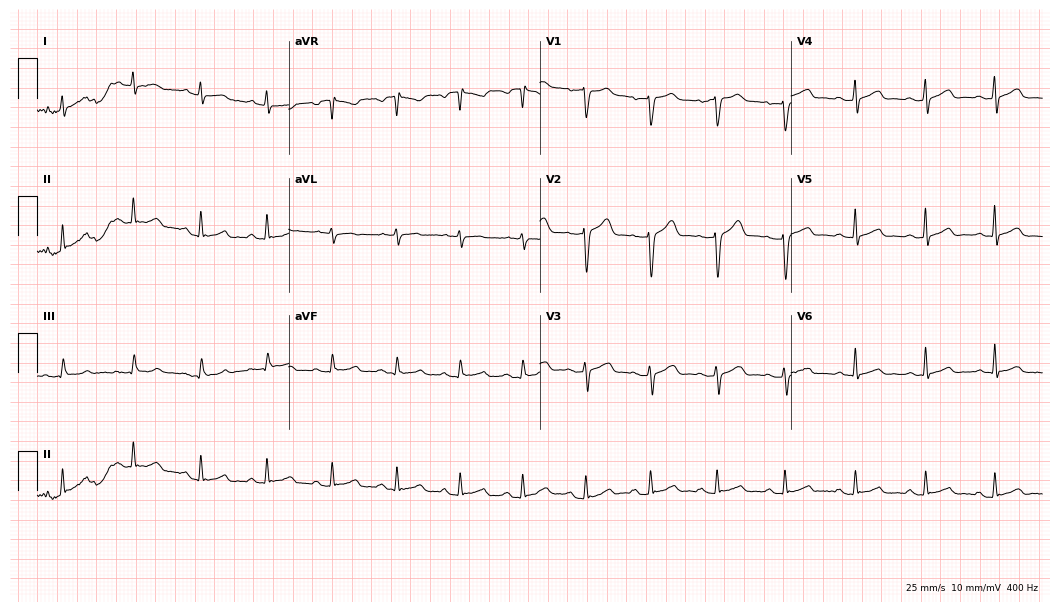
Standard 12-lead ECG recorded from a 32-year-old man (10.2-second recording at 400 Hz). None of these six findings is recorded: first-degree AV block, right bundle branch block, left bundle branch block, sinus bradycardia, atrial fibrillation, sinus tachycardia.